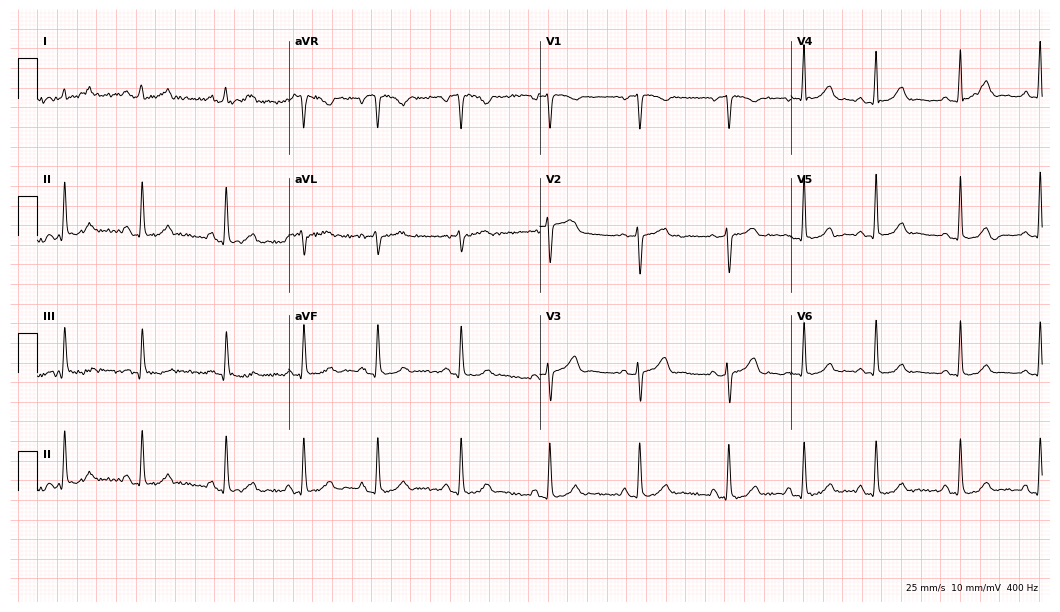
Resting 12-lead electrocardiogram (10.2-second recording at 400 Hz). Patient: a 24-year-old female. None of these six findings is recorded: first-degree AV block, right bundle branch block (RBBB), left bundle branch block (LBBB), sinus bradycardia, atrial fibrillation (AF), sinus tachycardia. Findings outside these six are not listed.